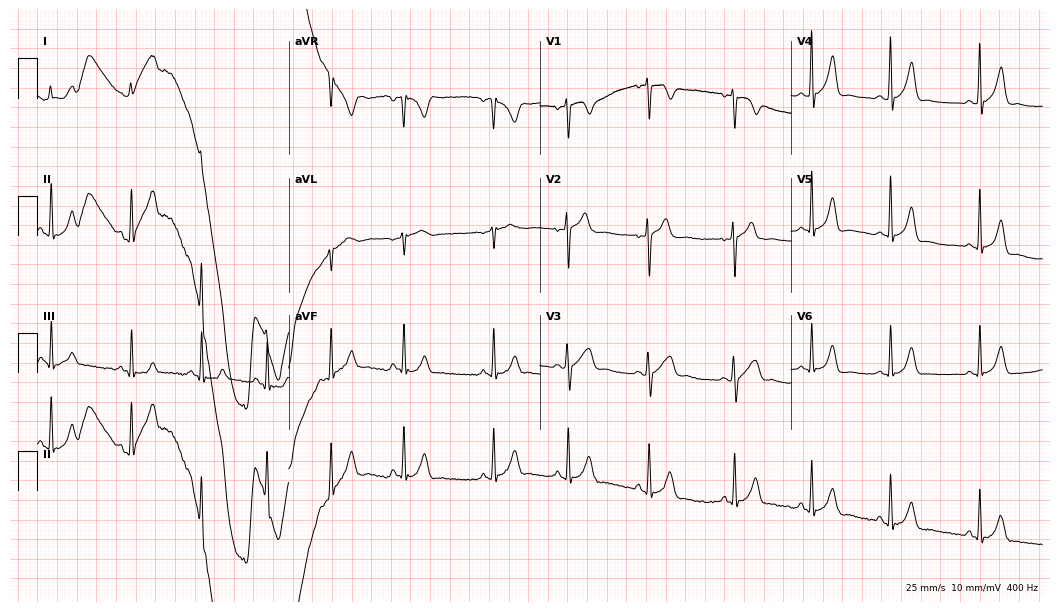
ECG — a female patient, 20 years old. Labelled as a normal ECG.